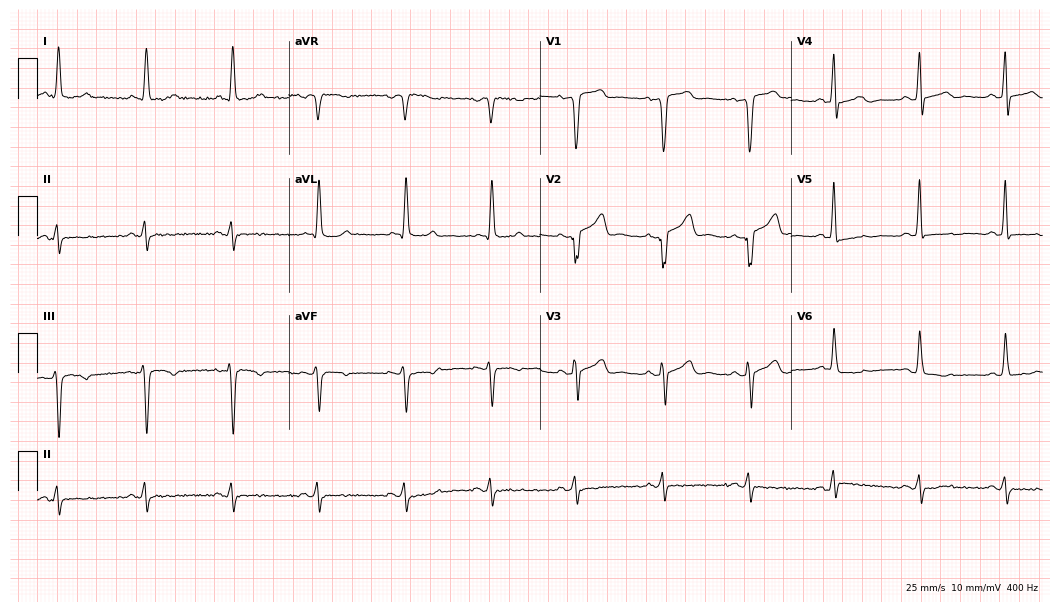
Resting 12-lead electrocardiogram. Patient: a male, 76 years old. None of these six findings is recorded: first-degree AV block, right bundle branch block, left bundle branch block, sinus bradycardia, atrial fibrillation, sinus tachycardia.